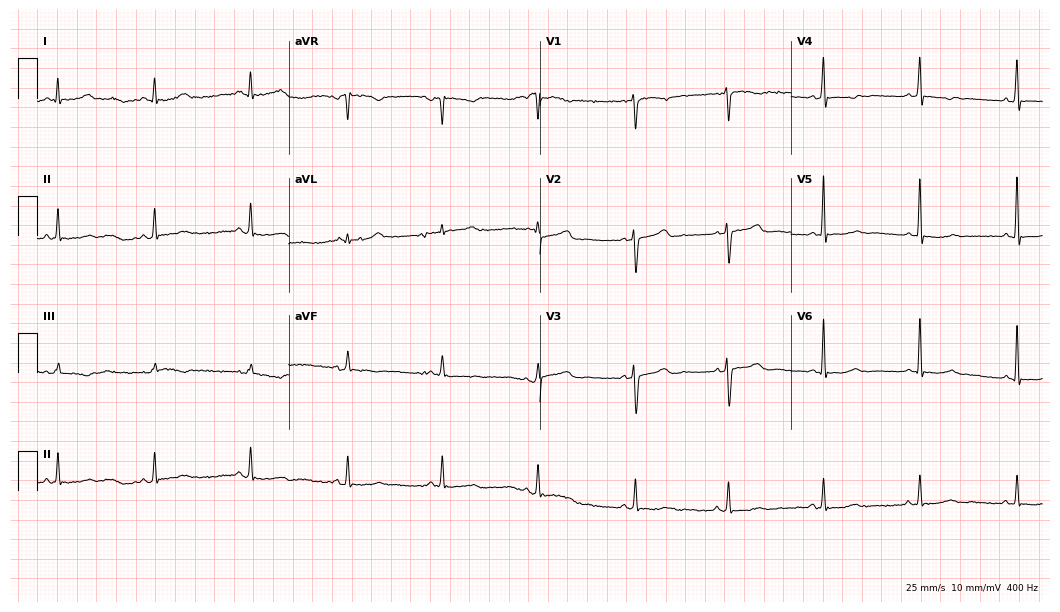
Resting 12-lead electrocardiogram. Patient: a woman, 27 years old. None of these six findings is recorded: first-degree AV block, right bundle branch block, left bundle branch block, sinus bradycardia, atrial fibrillation, sinus tachycardia.